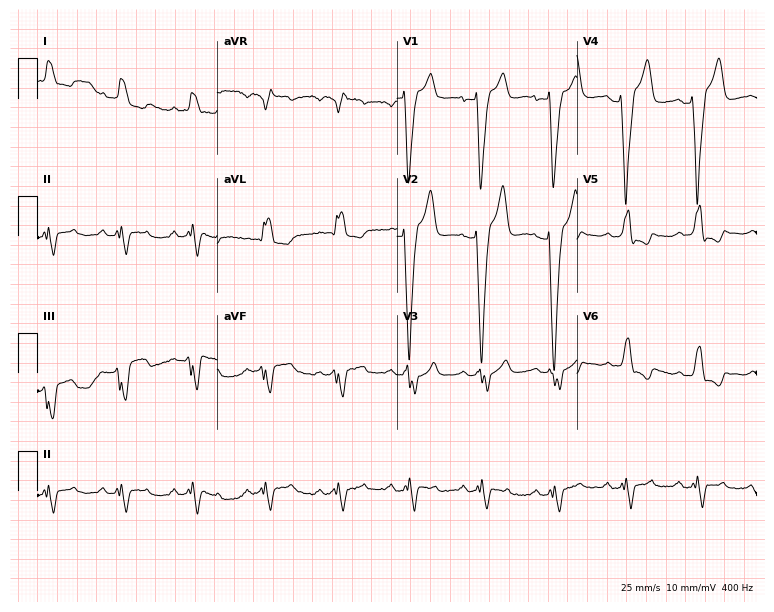
Resting 12-lead electrocardiogram. Patient: a female, 67 years old. The tracing shows left bundle branch block.